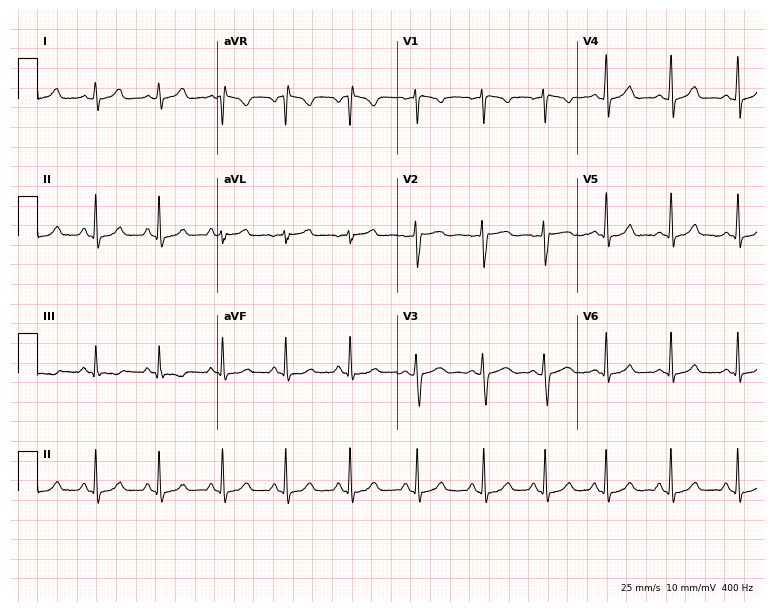
Standard 12-lead ECG recorded from a female patient, 27 years old (7.3-second recording at 400 Hz). None of these six findings is recorded: first-degree AV block, right bundle branch block, left bundle branch block, sinus bradycardia, atrial fibrillation, sinus tachycardia. Findings outside these six are not listed.